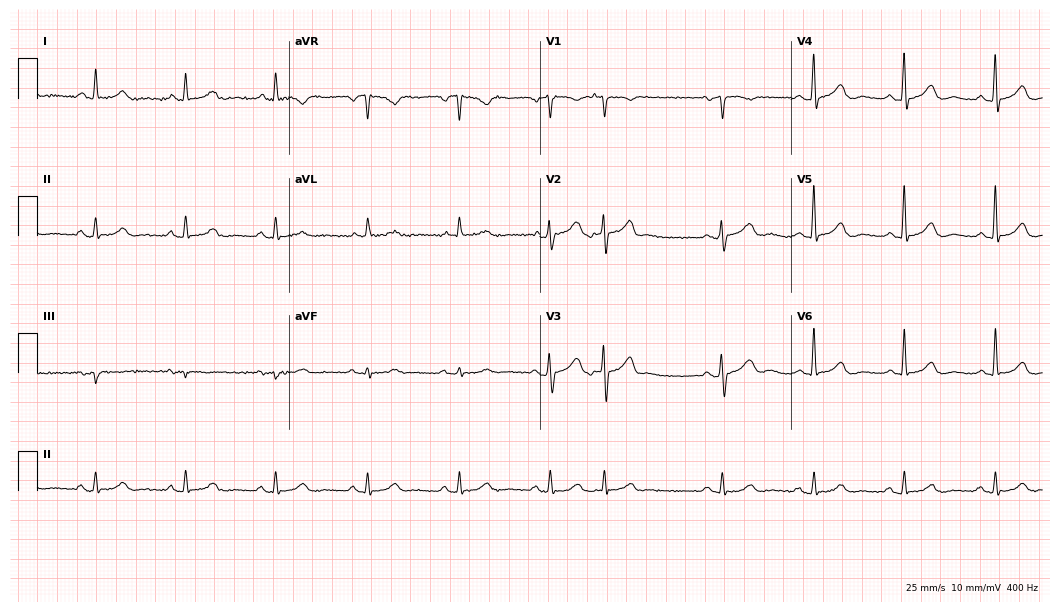
Resting 12-lead electrocardiogram. Patient: a male, 85 years old. Read as a normal ECG.